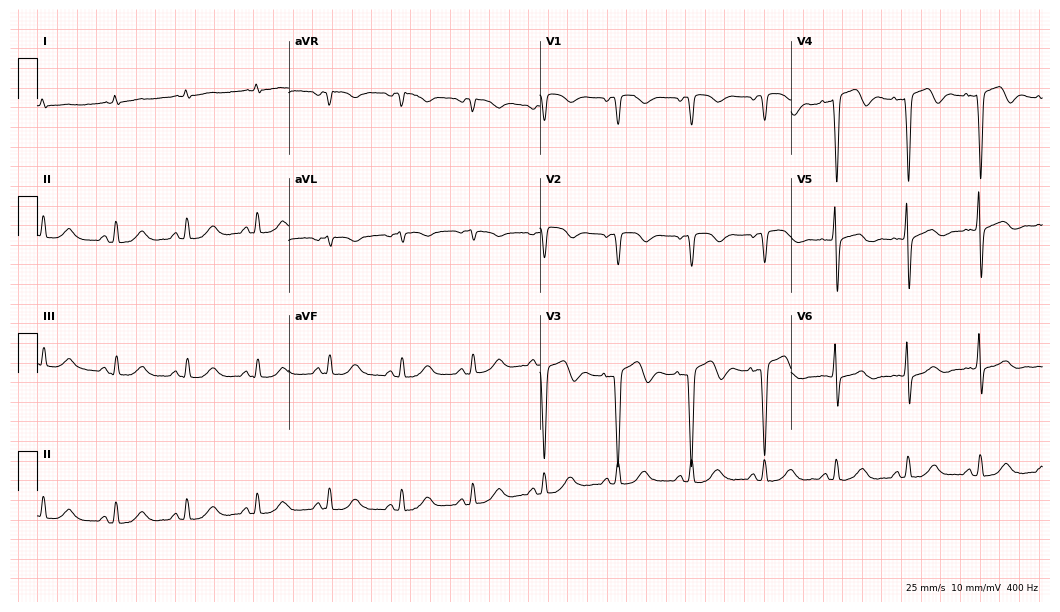
Standard 12-lead ECG recorded from a male, 60 years old. Read as a normal ECG.